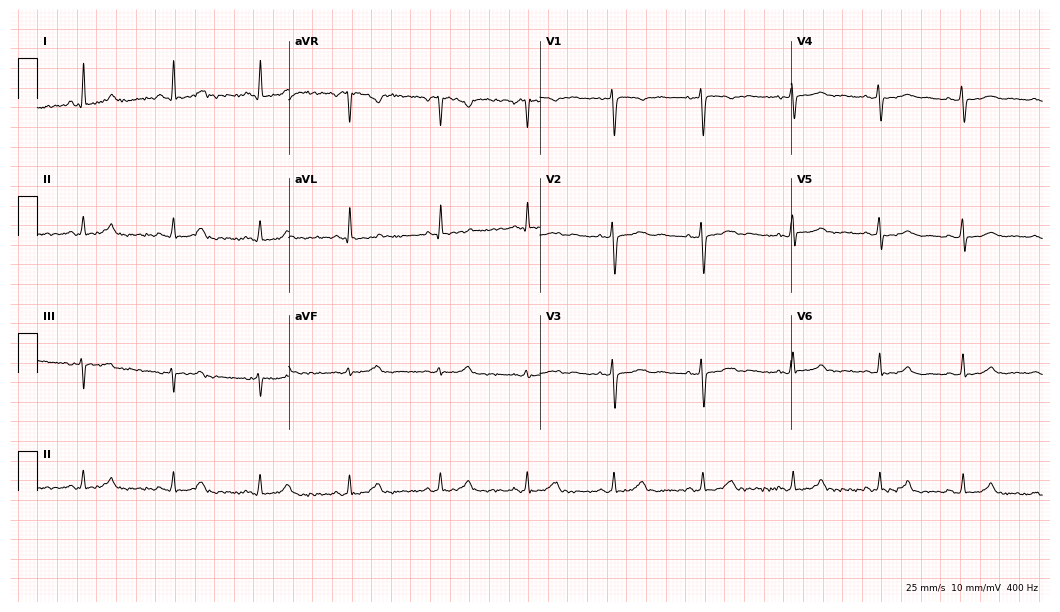
Resting 12-lead electrocardiogram. Patient: a 38-year-old female. Read as a normal ECG.